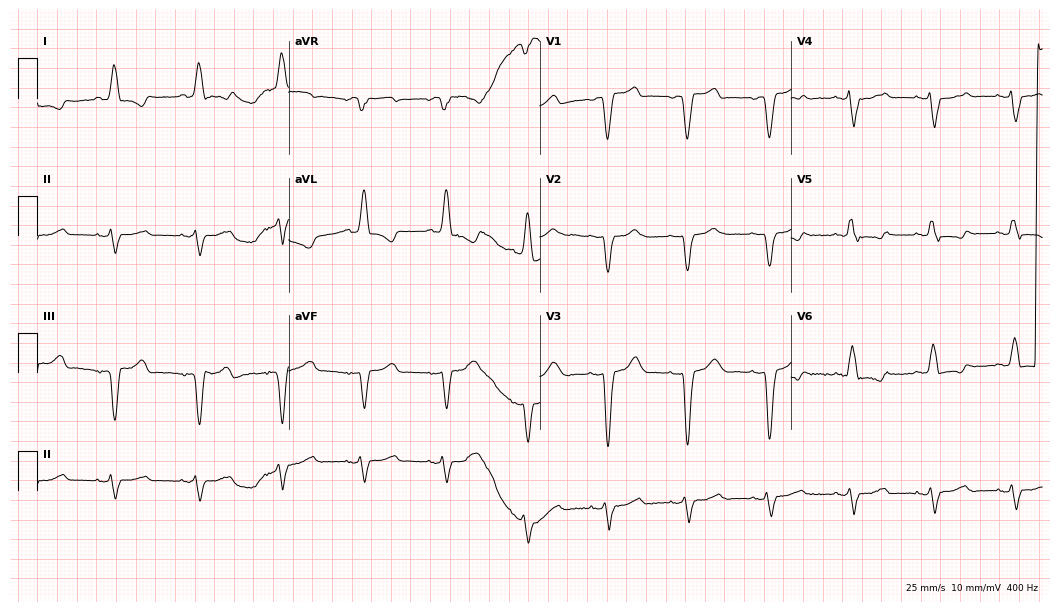
Electrocardiogram, a 71-year-old woman. Of the six screened findings (first-degree AV block, right bundle branch block (RBBB), left bundle branch block (LBBB), sinus bradycardia, atrial fibrillation (AF), sinus tachycardia), none is recorded. Other findings, if any, are not listed.